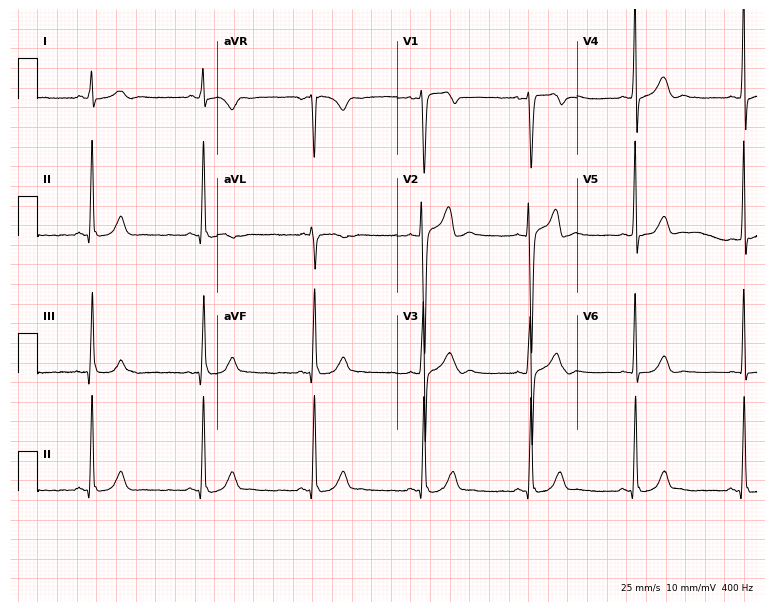
12-lead ECG from a male, 39 years old. No first-degree AV block, right bundle branch block, left bundle branch block, sinus bradycardia, atrial fibrillation or sinus tachycardia recorded for this tracing. Only these six findings were labelled.